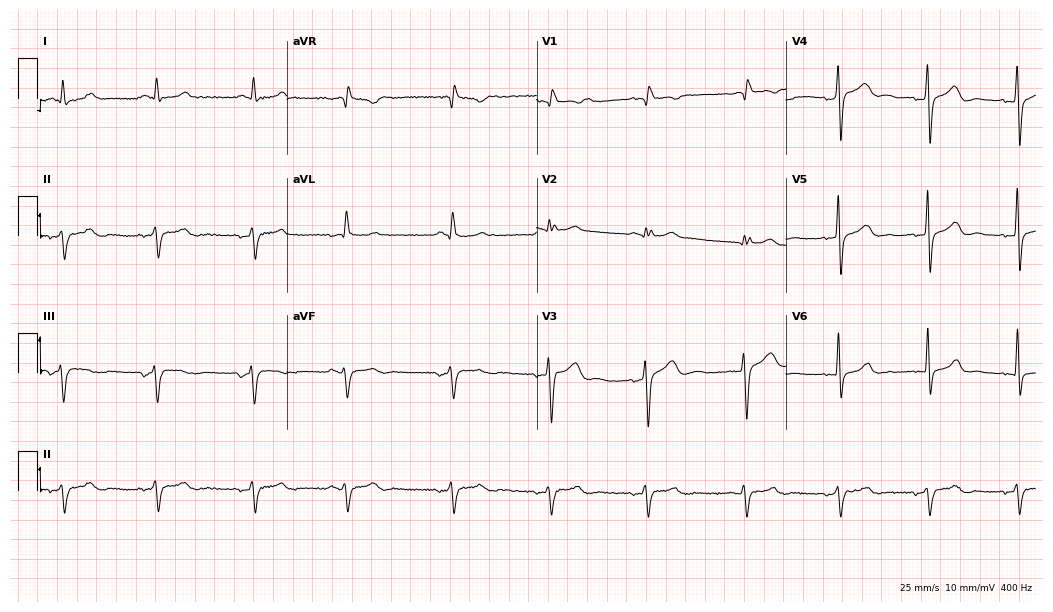
ECG — a male, 60 years old. Screened for six findings — first-degree AV block, right bundle branch block, left bundle branch block, sinus bradycardia, atrial fibrillation, sinus tachycardia — none is recorded.